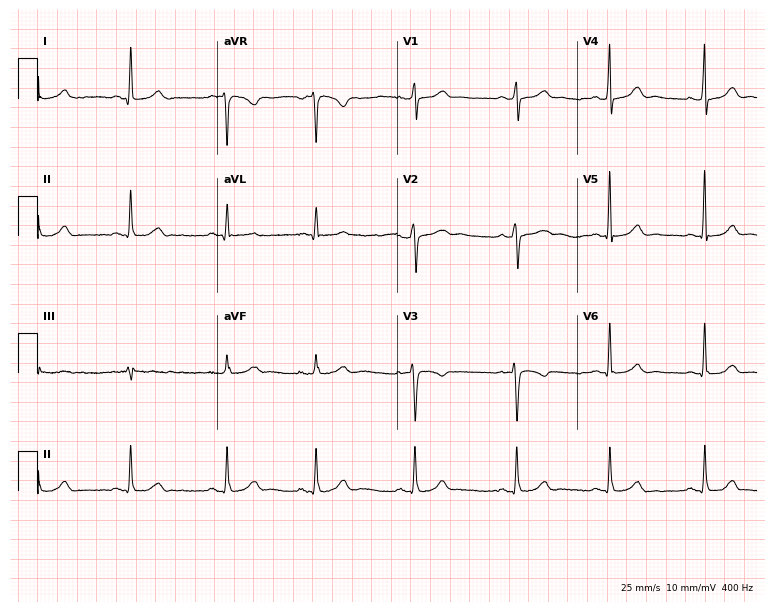
Electrocardiogram, a female patient, 33 years old. Overall reading on record: normal ECG.